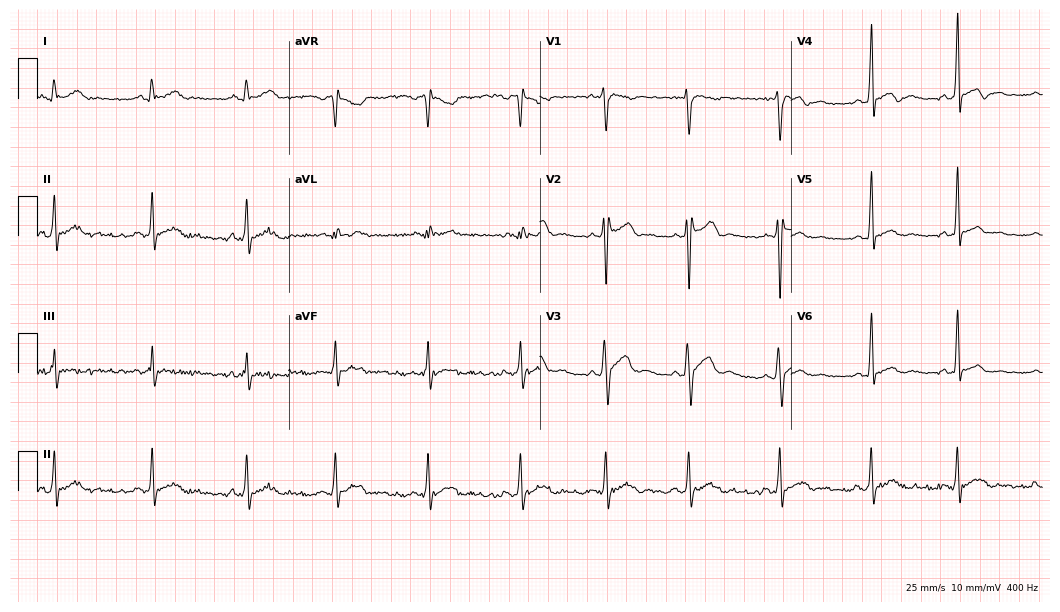
12-lead ECG from a male, 19 years old. Labelled as a normal ECG.